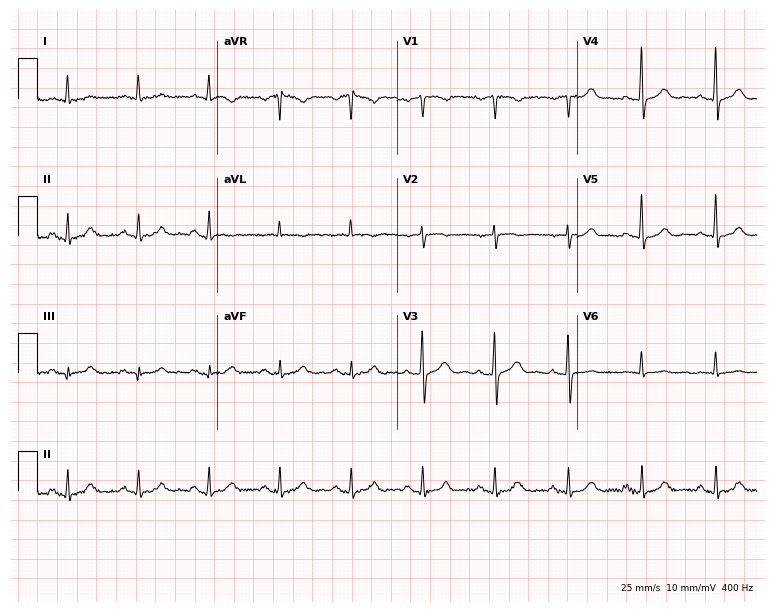
12-lead ECG from a man, 68 years old. Labelled as a normal ECG.